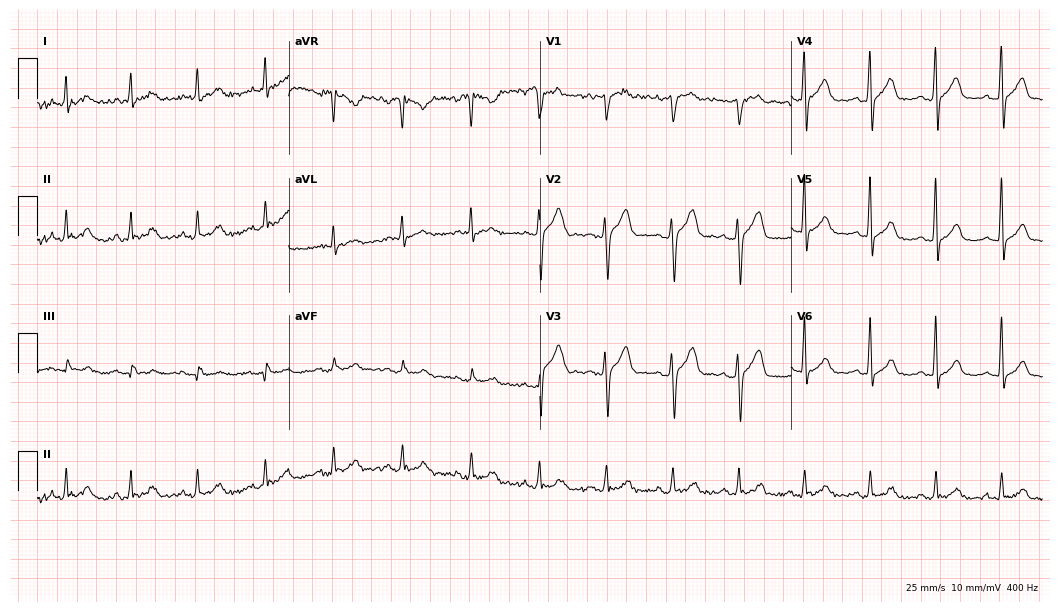
12-lead ECG from a 44-year-old male patient. Recorded interpretation: within normal limits.